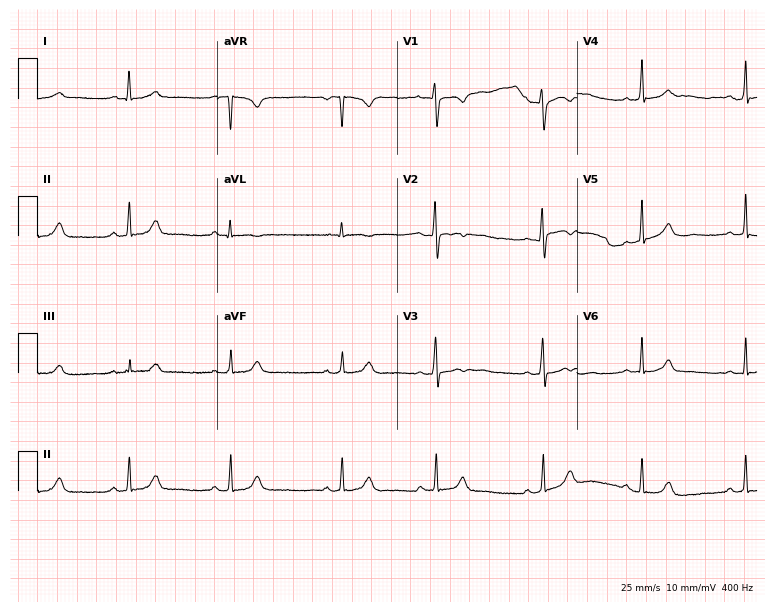
12-lead ECG from a female, 25 years old (7.3-second recording at 400 Hz). Recorded interpretation: within normal limits.